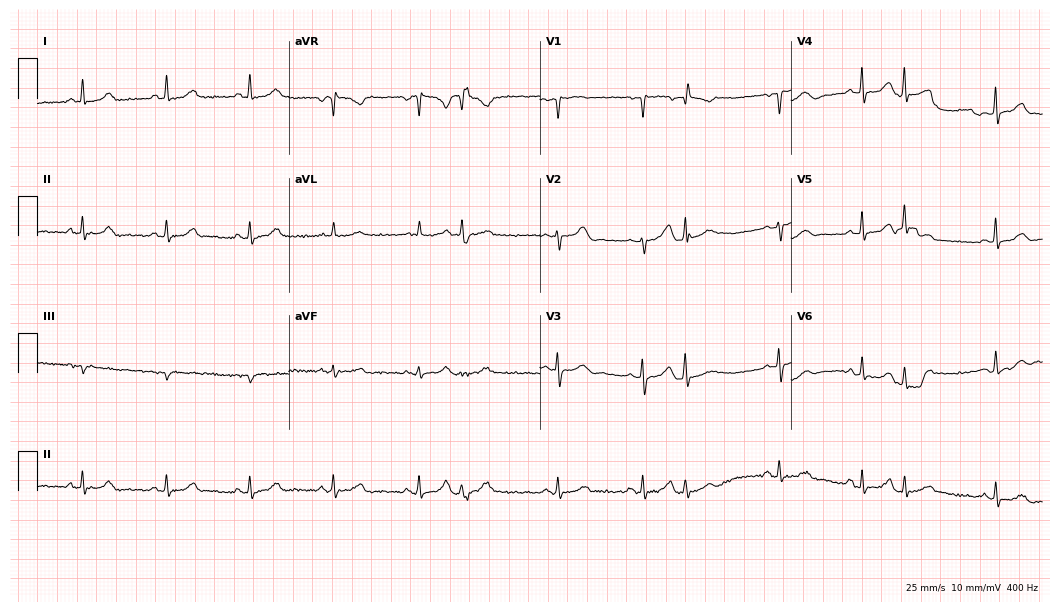
12-lead ECG from a female patient, 69 years old (10.2-second recording at 400 Hz). Recorded interpretation: within normal limits.